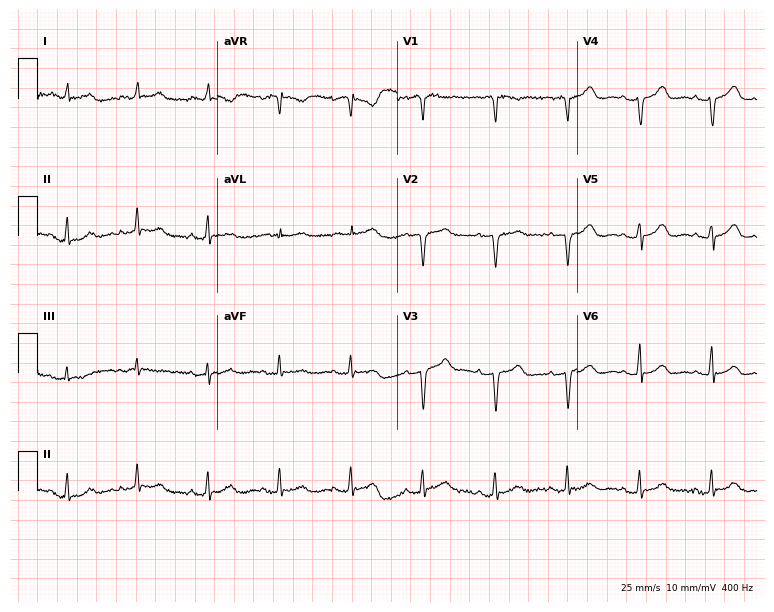
12-lead ECG from a 73-year-old female patient. Labelled as a normal ECG.